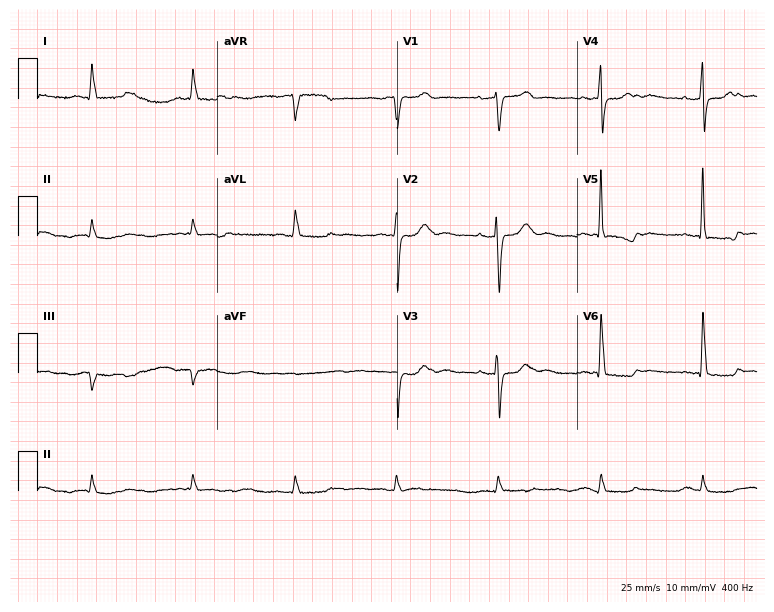
Standard 12-lead ECG recorded from a female patient, 84 years old (7.3-second recording at 400 Hz). None of these six findings is recorded: first-degree AV block, right bundle branch block, left bundle branch block, sinus bradycardia, atrial fibrillation, sinus tachycardia.